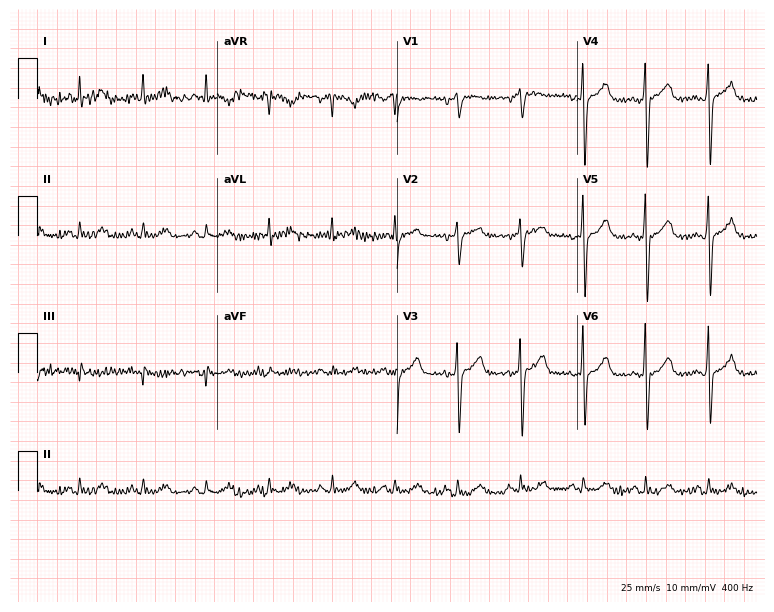
12-lead ECG (7.3-second recording at 400 Hz) from a 62-year-old man. Screened for six findings — first-degree AV block, right bundle branch block, left bundle branch block, sinus bradycardia, atrial fibrillation, sinus tachycardia — none is recorded. Only these six findings were labelled.